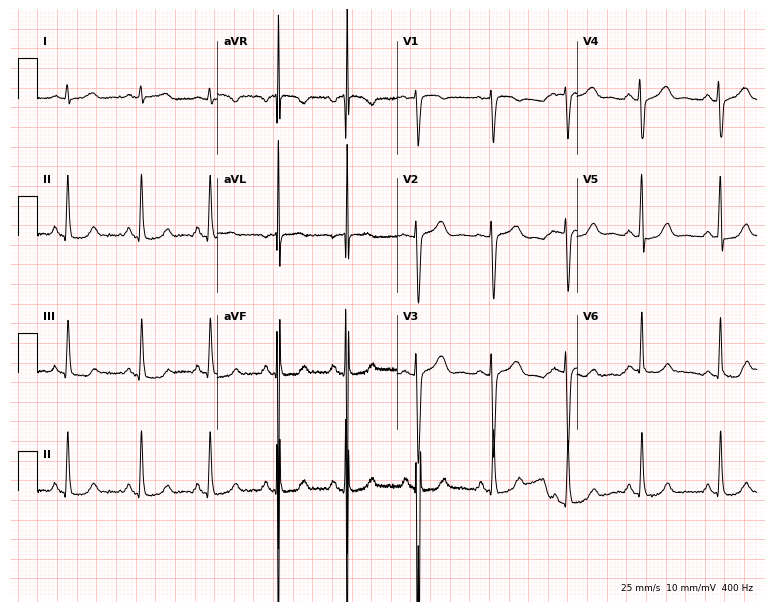
Standard 12-lead ECG recorded from a woman, 40 years old. None of these six findings is recorded: first-degree AV block, right bundle branch block, left bundle branch block, sinus bradycardia, atrial fibrillation, sinus tachycardia. Other findings, if any, are not listed.